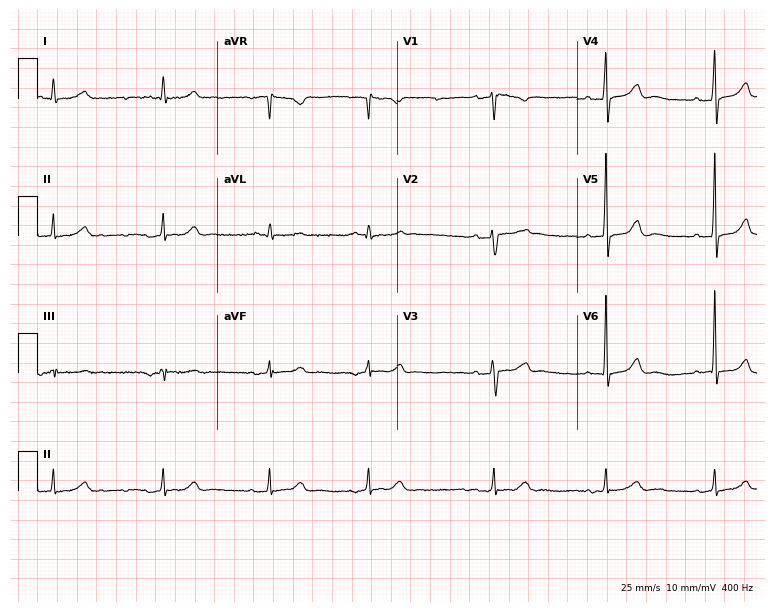
Resting 12-lead electrocardiogram. Patient: an 83-year-old female. Read as a normal ECG.